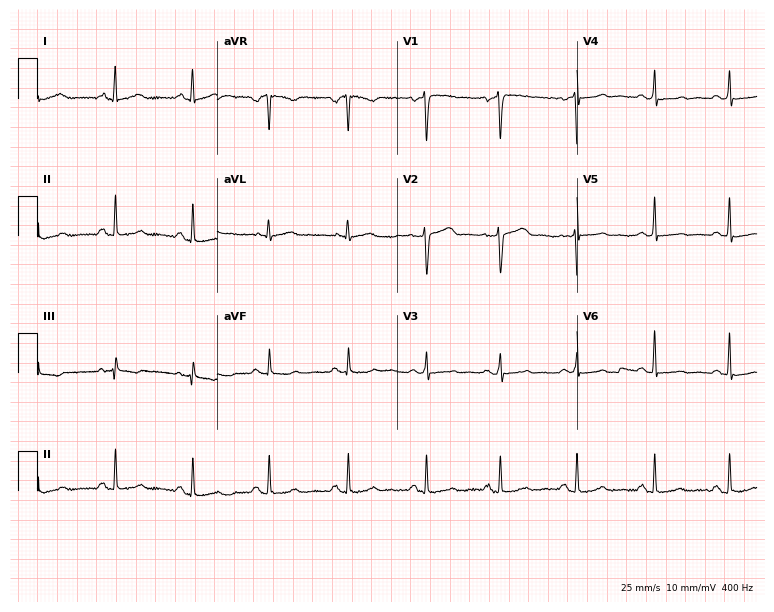
12-lead ECG (7.3-second recording at 400 Hz) from a woman, 35 years old. Screened for six findings — first-degree AV block, right bundle branch block, left bundle branch block, sinus bradycardia, atrial fibrillation, sinus tachycardia — none is recorded.